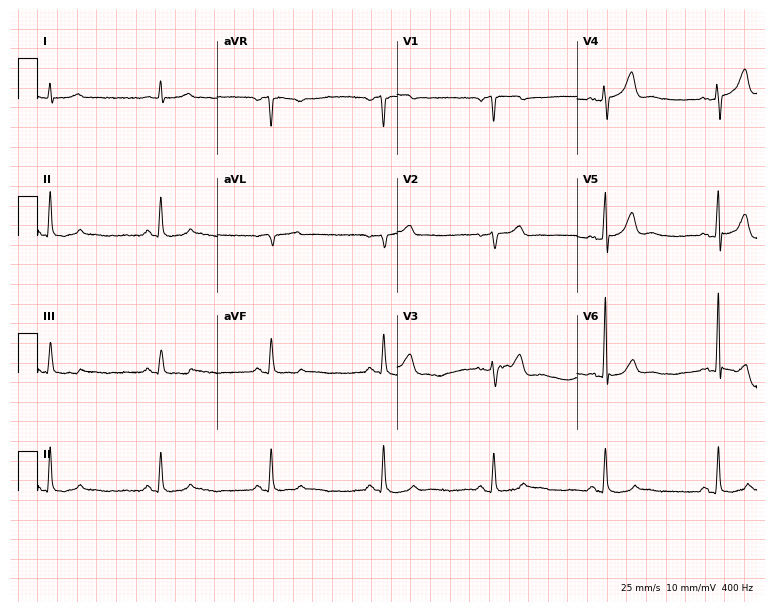
Resting 12-lead electrocardiogram. Patient: a man, 75 years old. None of these six findings is recorded: first-degree AV block, right bundle branch block, left bundle branch block, sinus bradycardia, atrial fibrillation, sinus tachycardia.